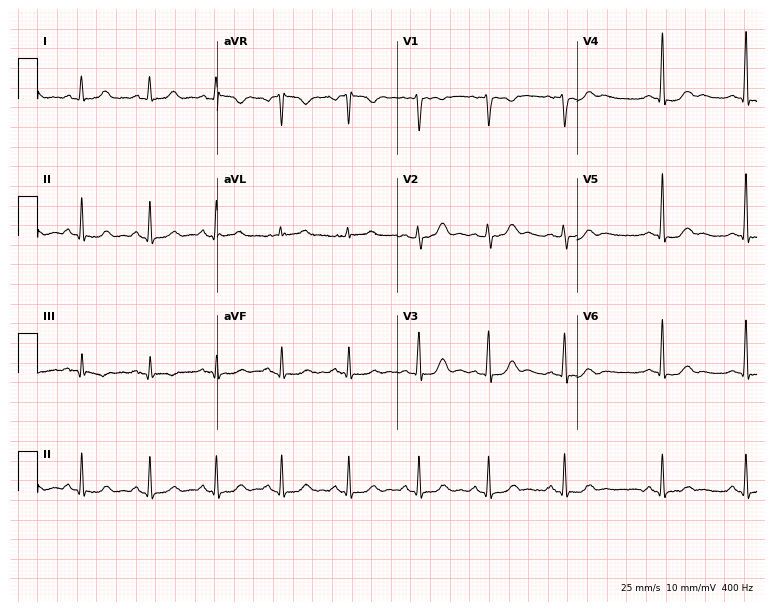
ECG — a 43-year-old woman. Screened for six findings — first-degree AV block, right bundle branch block (RBBB), left bundle branch block (LBBB), sinus bradycardia, atrial fibrillation (AF), sinus tachycardia — none is recorded.